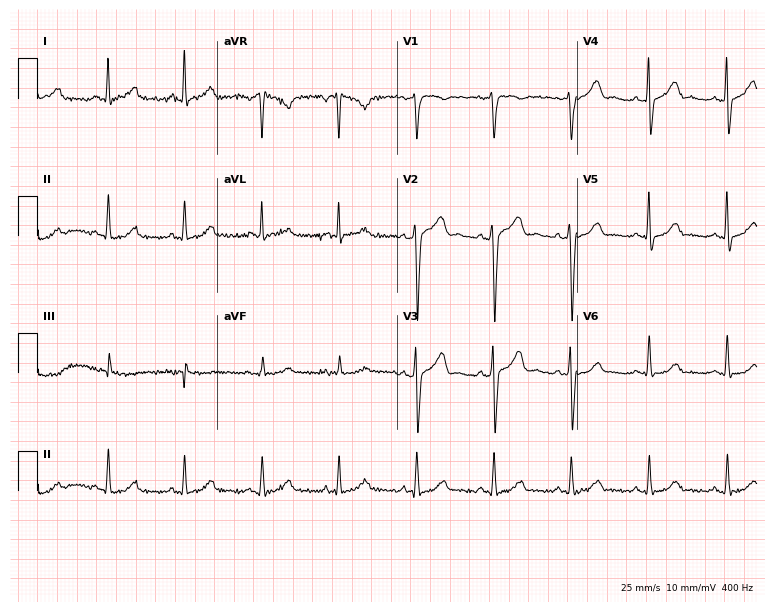
12-lead ECG from a 53-year-old female. Screened for six findings — first-degree AV block, right bundle branch block, left bundle branch block, sinus bradycardia, atrial fibrillation, sinus tachycardia — none is recorded. Findings outside these six are not listed.